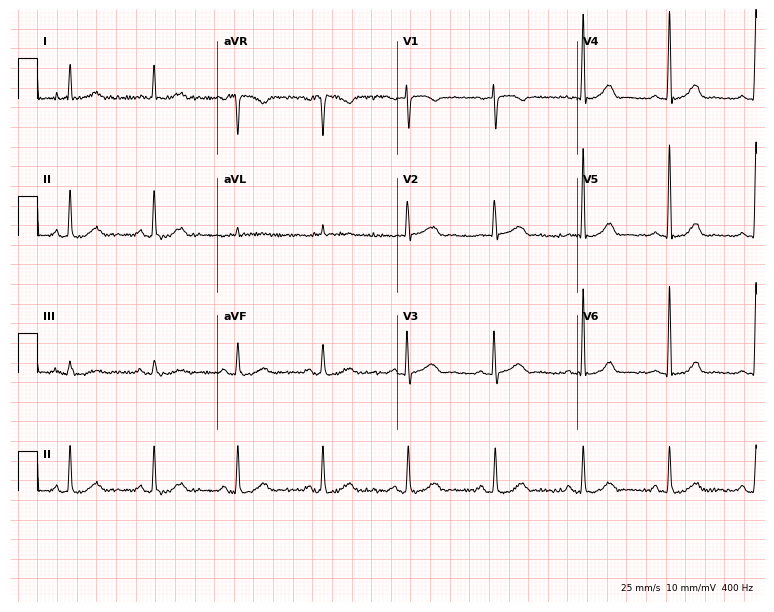
ECG — an 80-year-old woman. Labelled as a normal ECG.